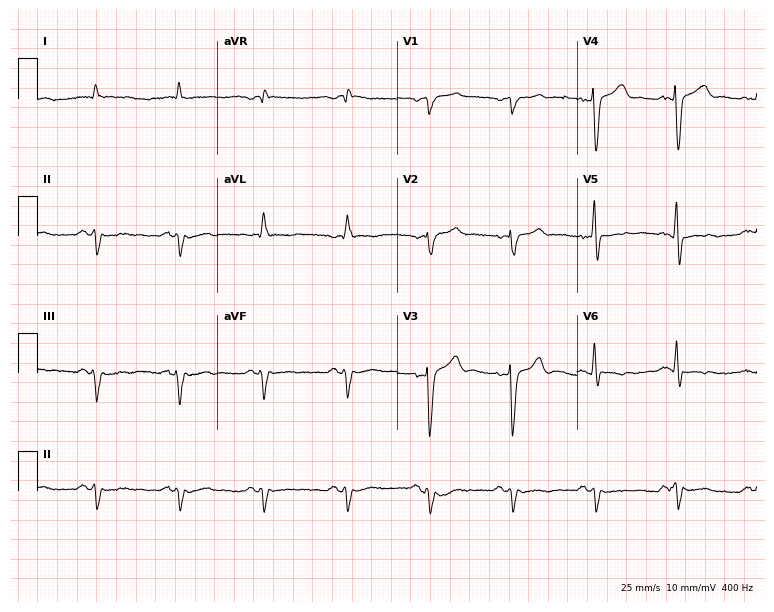
Standard 12-lead ECG recorded from a man, 80 years old. None of these six findings is recorded: first-degree AV block, right bundle branch block, left bundle branch block, sinus bradycardia, atrial fibrillation, sinus tachycardia. Only these six findings were labelled.